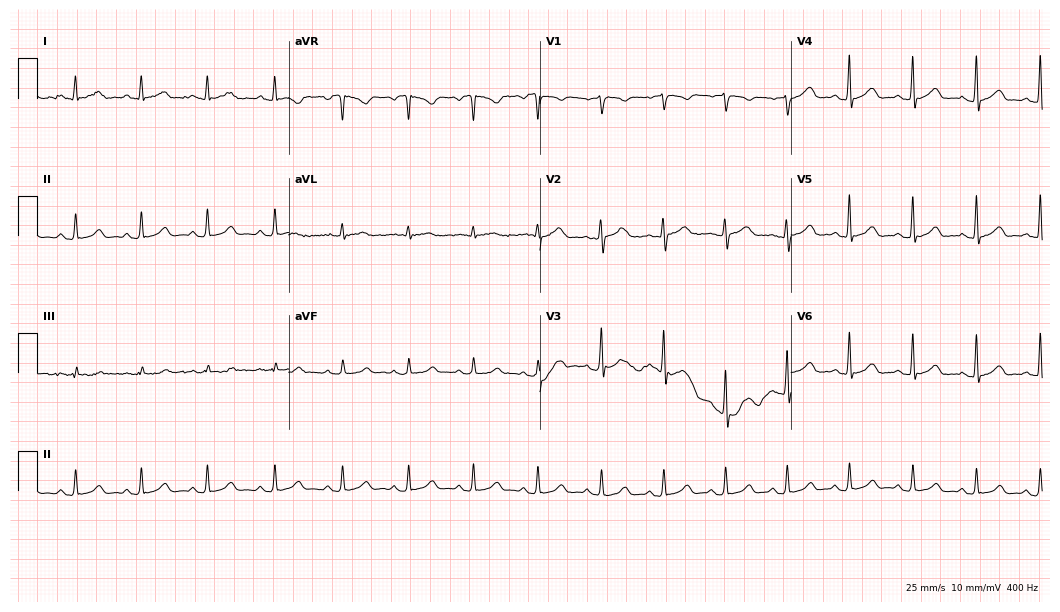
12-lead ECG from a 36-year-old woman. Recorded interpretation: within normal limits.